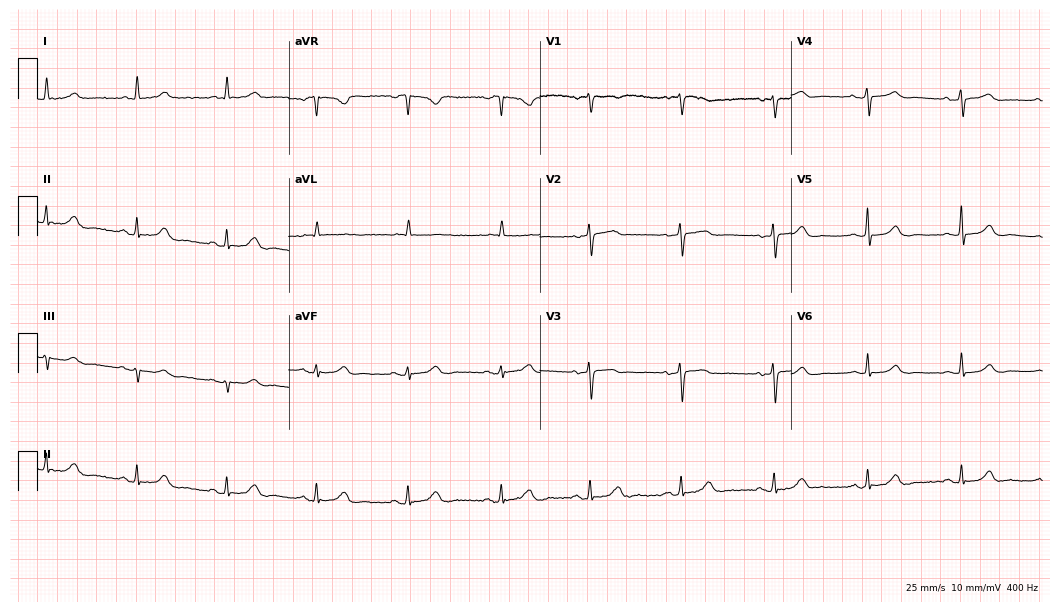
Electrocardiogram (10.2-second recording at 400 Hz), a 66-year-old female. Overall reading on record: normal ECG.